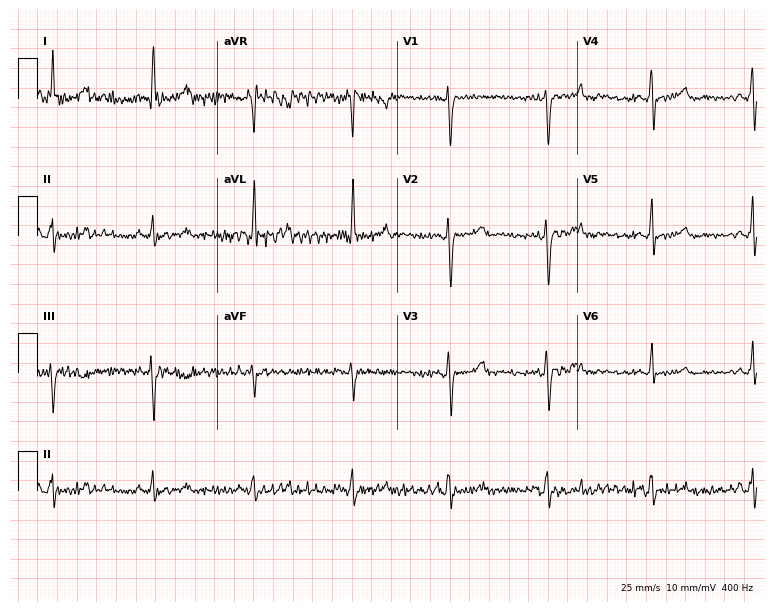
Resting 12-lead electrocardiogram (7.3-second recording at 400 Hz). Patient: a male, 49 years old. None of these six findings is recorded: first-degree AV block, right bundle branch block, left bundle branch block, sinus bradycardia, atrial fibrillation, sinus tachycardia.